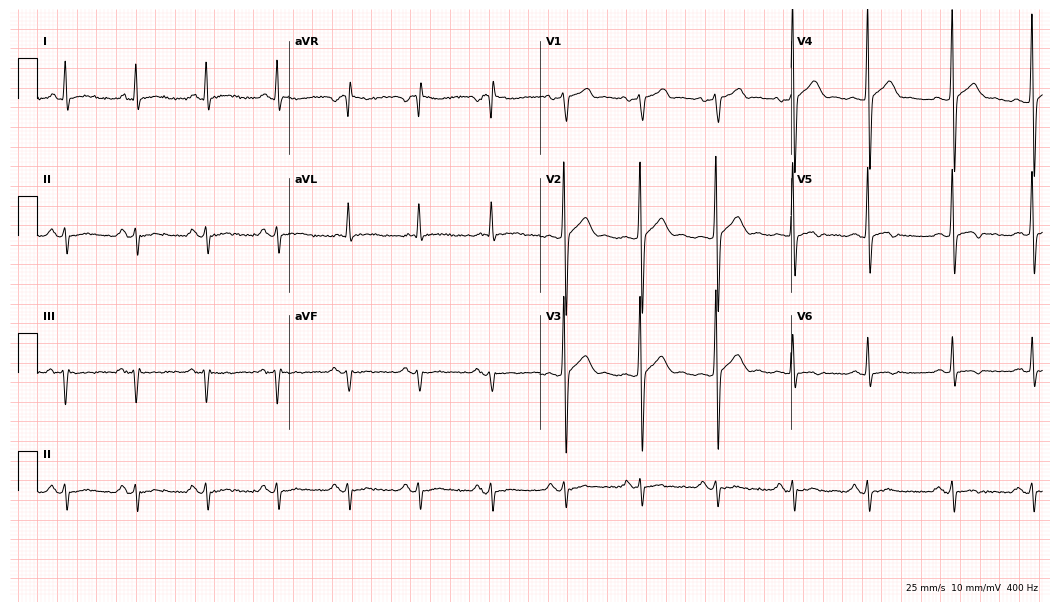
12-lead ECG from a 52-year-old male patient. Screened for six findings — first-degree AV block, right bundle branch block, left bundle branch block, sinus bradycardia, atrial fibrillation, sinus tachycardia — none is recorded. Findings outside these six are not listed.